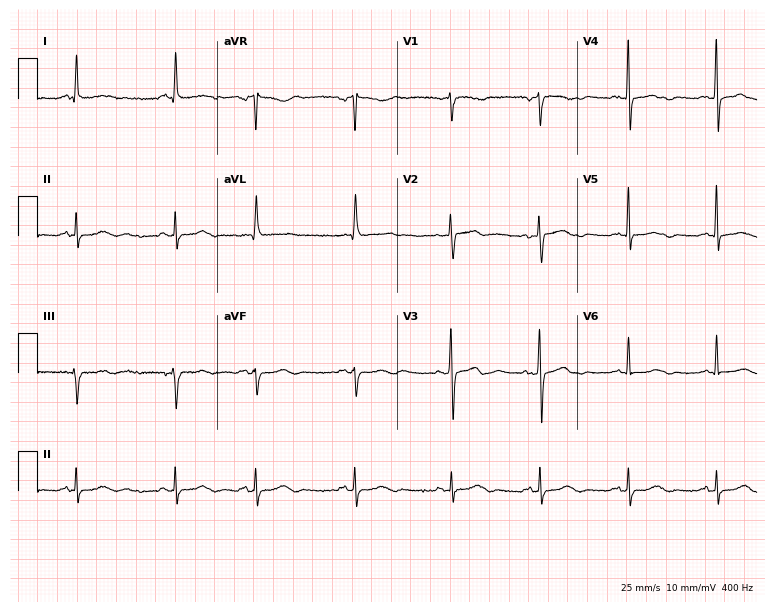
Resting 12-lead electrocardiogram. Patient: a 75-year-old woman. None of these six findings is recorded: first-degree AV block, right bundle branch block, left bundle branch block, sinus bradycardia, atrial fibrillation, sinus tachycardia. Other findings, if any, are not listed.